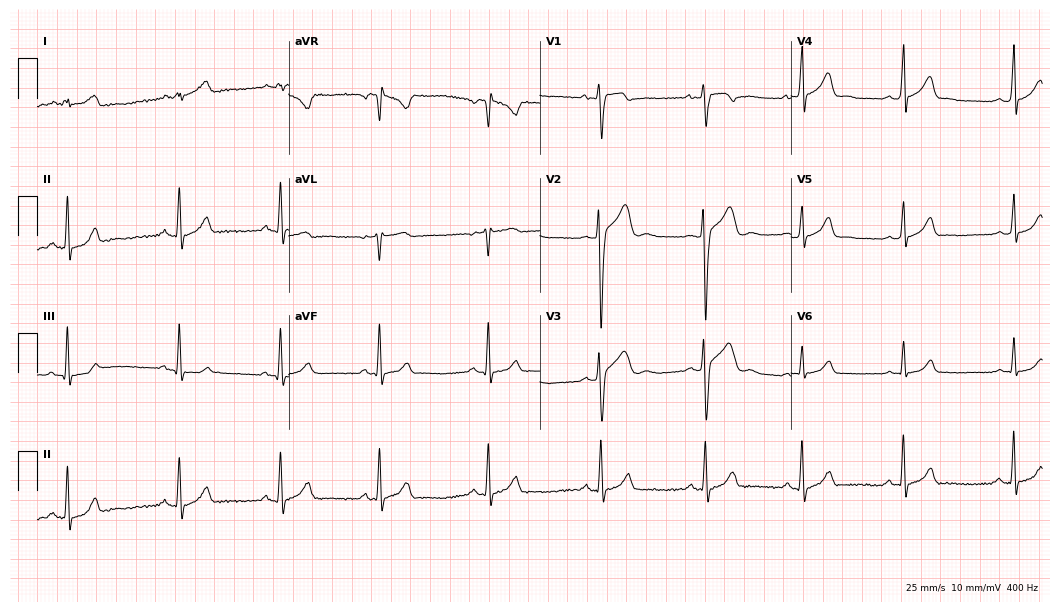
Standard 12-lead ECG recorded from a 20-year-old male. Read as a normal ECG.